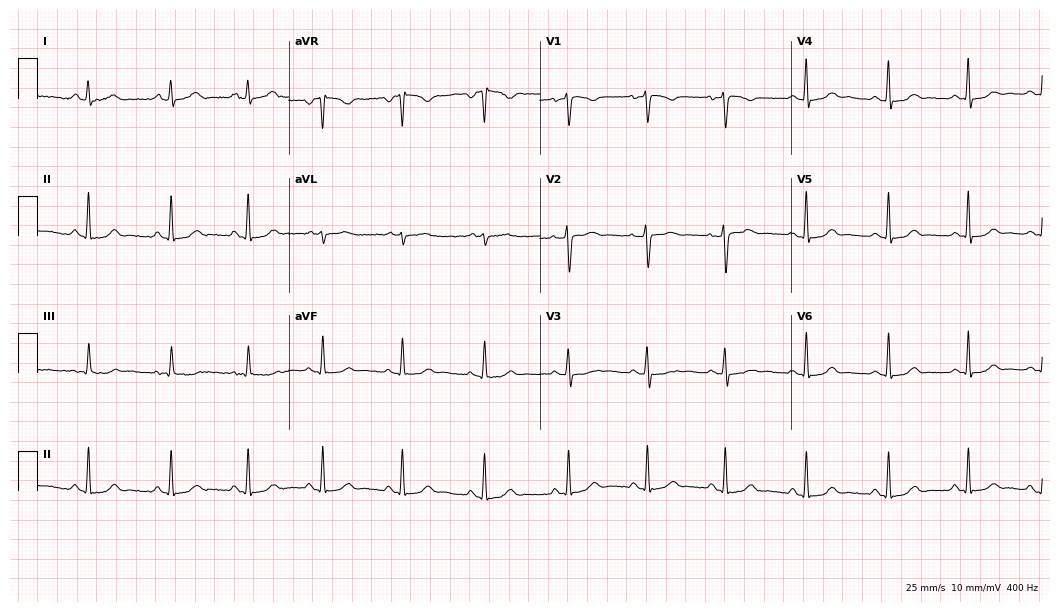
Electrocardiogram (10.2-second recording at 400 Hz), a woman, 43 years old. Overall reading on record: normal ECG.